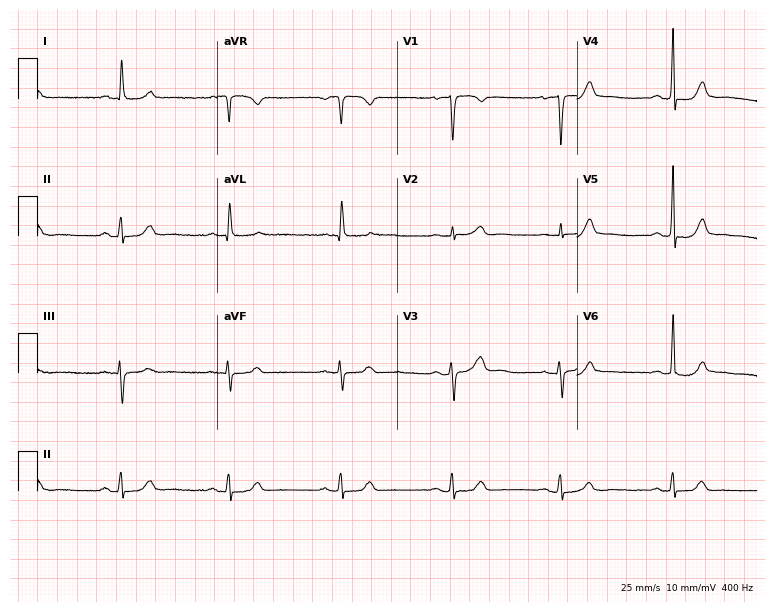
Resting 12-lead electrocardiogram. Patient: a 57-year-old female. Read as a normal ECG.